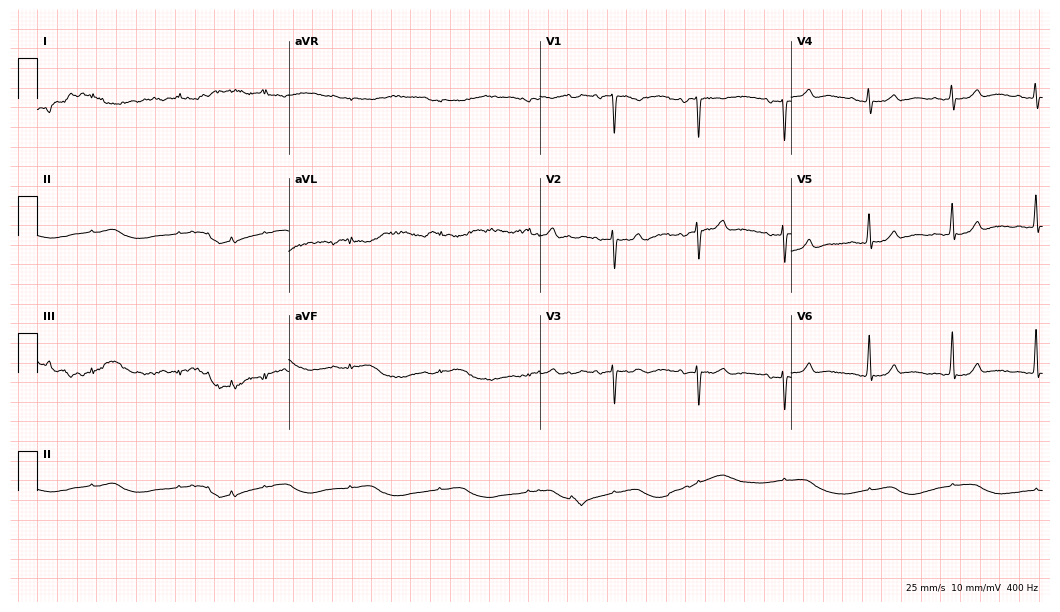
12-lead ECG from a female, 80 years old (10.2-second recording at 400 Hz). No first-degree AV block, right bundle branch block (RBBB), left bundle branch block (LBBB), sinus bradycardia, atrial fibrillation (AF) or sinus tachycardia recorded for this tracing. Findings outside these six are not listed.